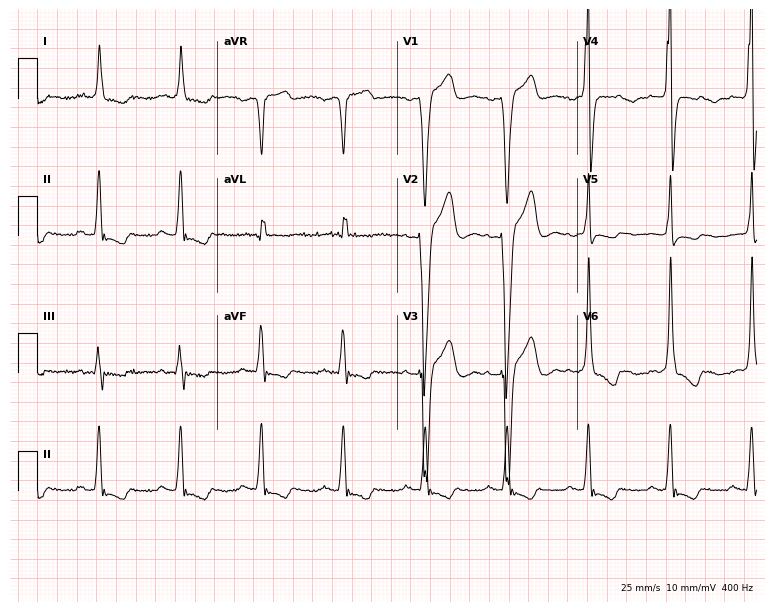
Standard 12-lead ECG recorded from a 63-year-old male (7.3-second recording at 400 Hz). The tracing shows left bundle branch block.